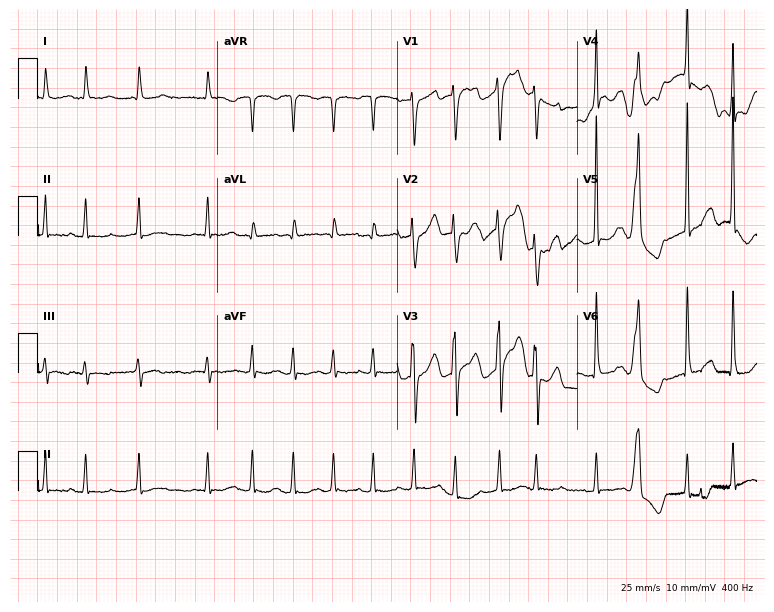
12-lead ECG from an 85-year-old man (7.3-second recording at 400 Hz). Shows atrial fibrillation.